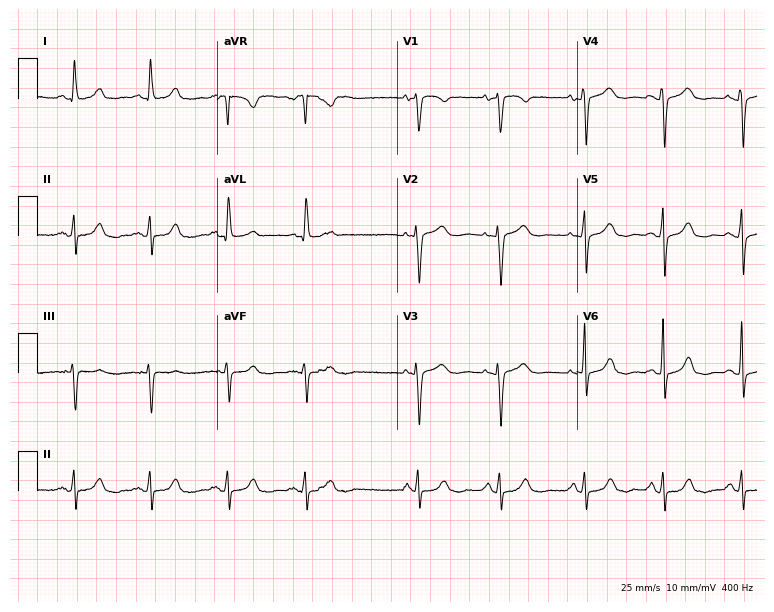
Resting 12-lead electrocardiogram. Patient: a 75-year-old female. None of these six findings is recorded: first-degree AV block, right bundle branch block, left bundle branch block, sinus bradycardia, atrial fibrillation, sinus tachycardia.